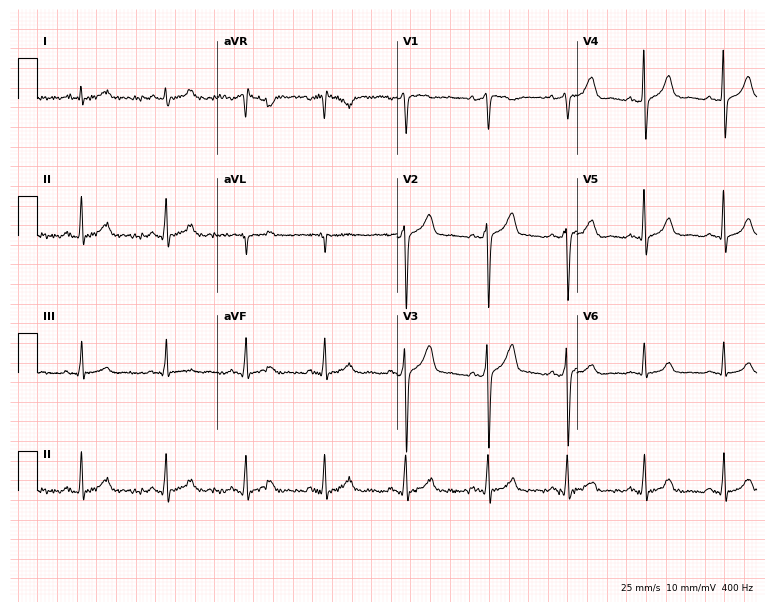
Standard 12-lead ECG recorded from a 47-year-old male. Read as a normal ECG.